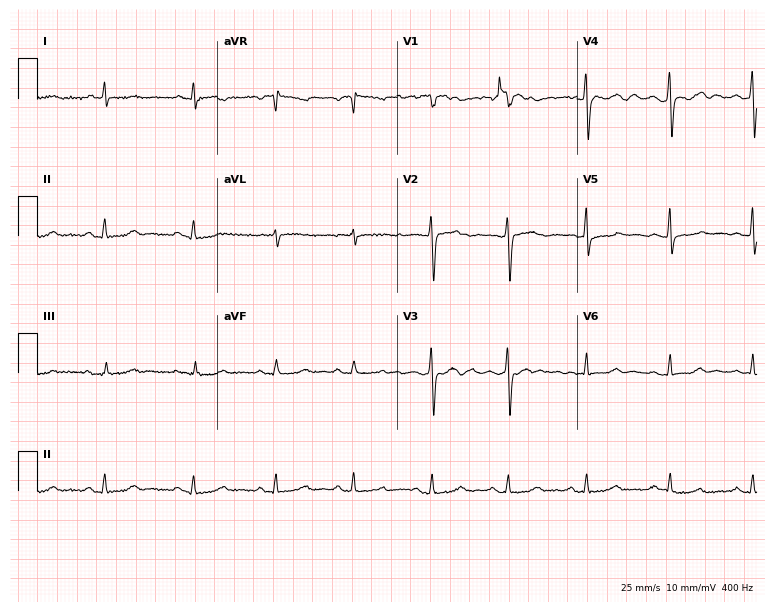
12-lead ECG from a female patient, 44 years old. Recorded interpretation: within normal limits.